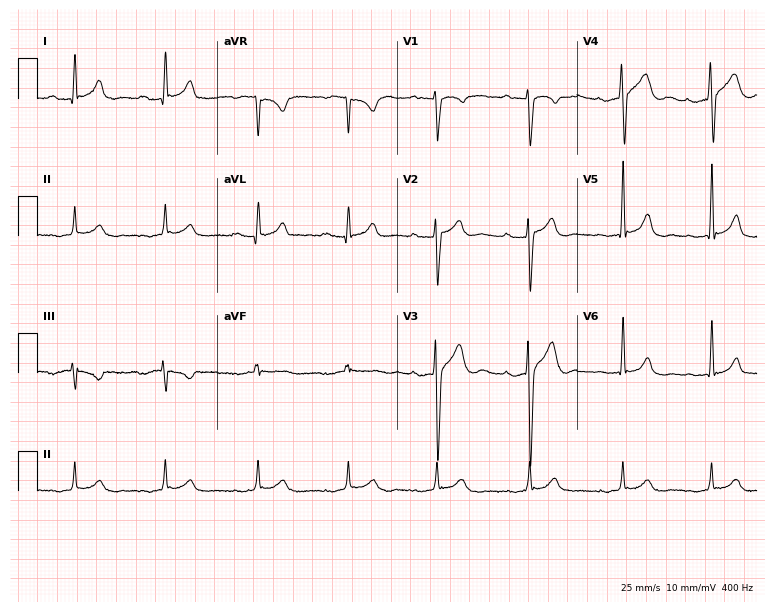
Electrocardiogram, a man, 37 years old. Interpretation includes first-degree AV block.